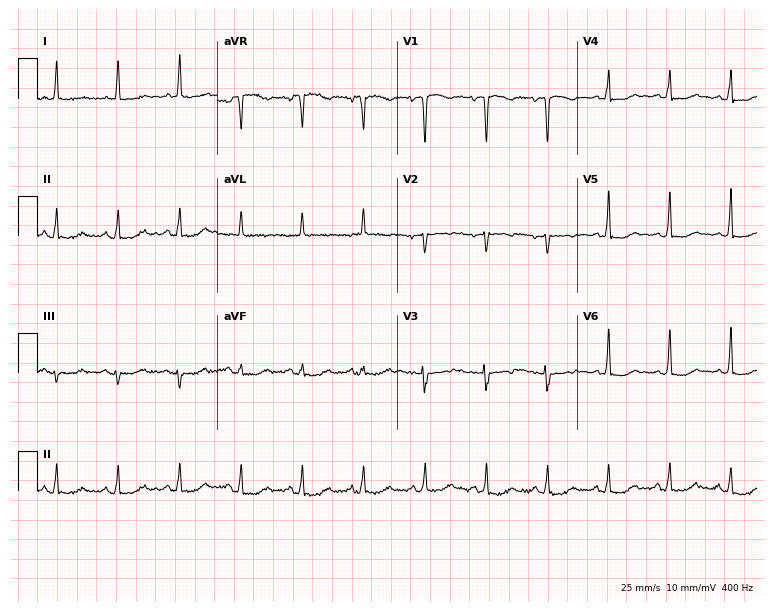
12-lead ECG from a female, 70 years old (7.3-second recording at 400 Hz). No first-degree AV block, right bundle branch block, left bundle branch block, sinus bradycardia, atrial fibrillation or sinus tachycardia recorded for this tracing. Only these six findings were labelled.